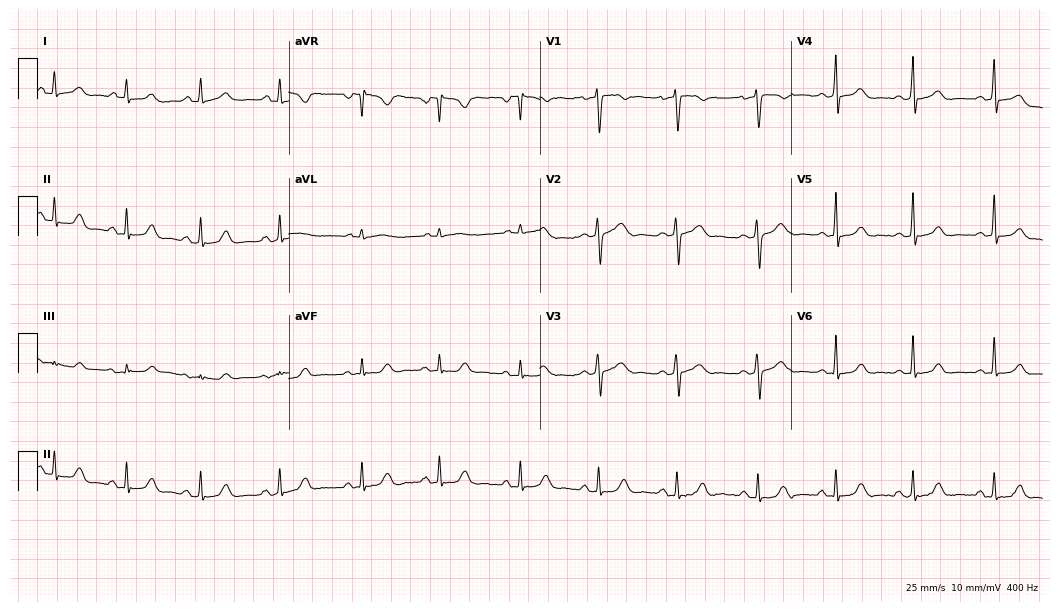
12-lead ECG from a female, 30 years old (10.2-second recording at 400 Hz). Recorded interpretation: within normal limits.